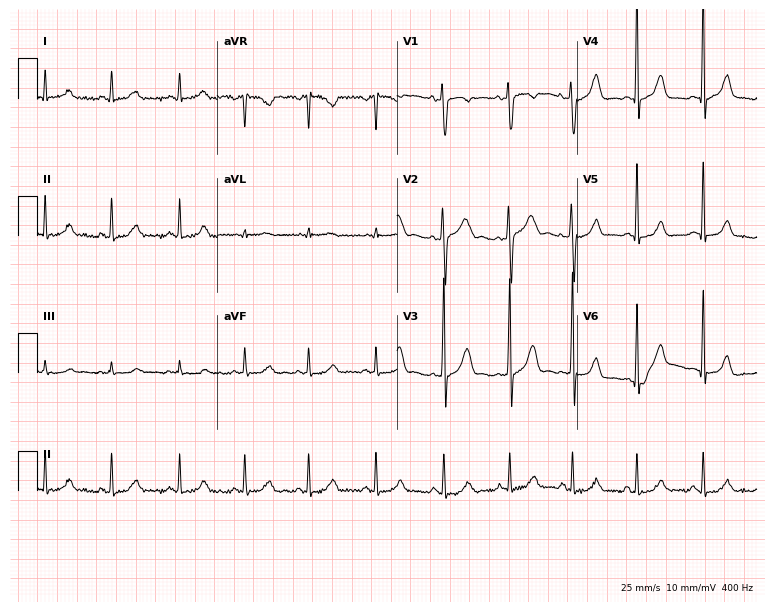
12-lead ECG (7.3-second recording at 400 Hz) from a woman, 46 years old. Screened for six findings — first-degree AV block, right bundle branch block, left bundle branch block, sinus bradycardia, atrial fibrillation, sinus tachycardia — none is recorded.